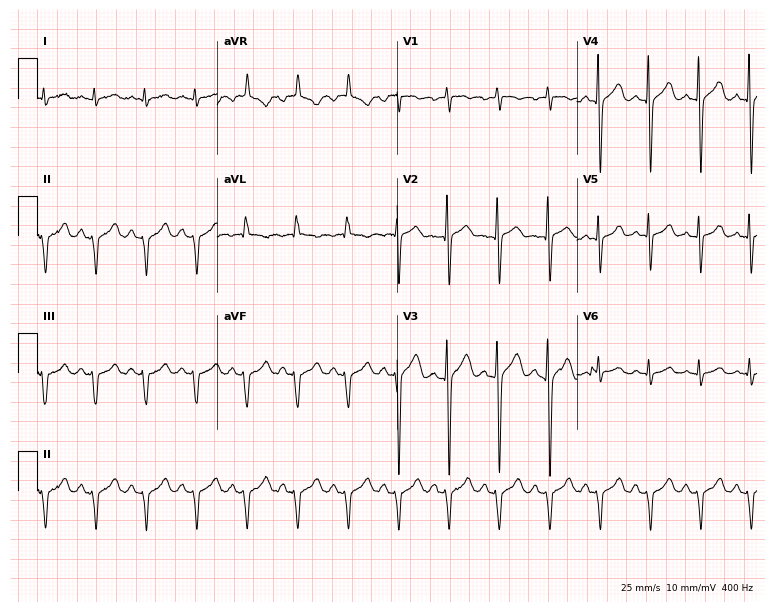
Resting 12-lead electrocardiogram (7.3-second recording at 400 Hz). Patient: an 83-year-old male. The tracing shows sinus tachycardia (a sinus rate of 100 beats per minute or more).